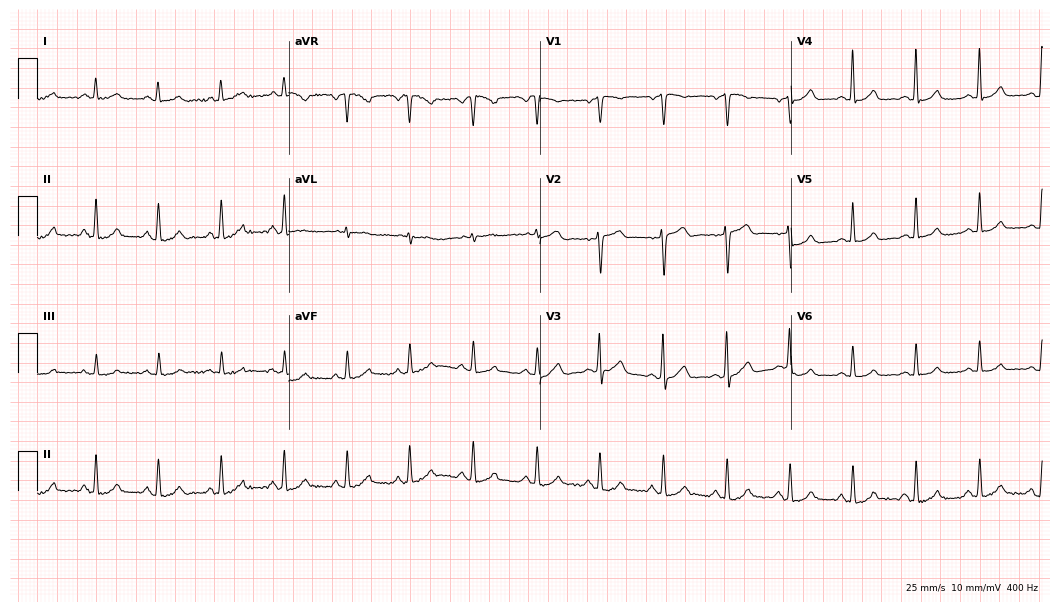
12-lead ECG (10.2-second recording at 400 Hz) from a 62-year-old female. Labelled as a normal ECG.